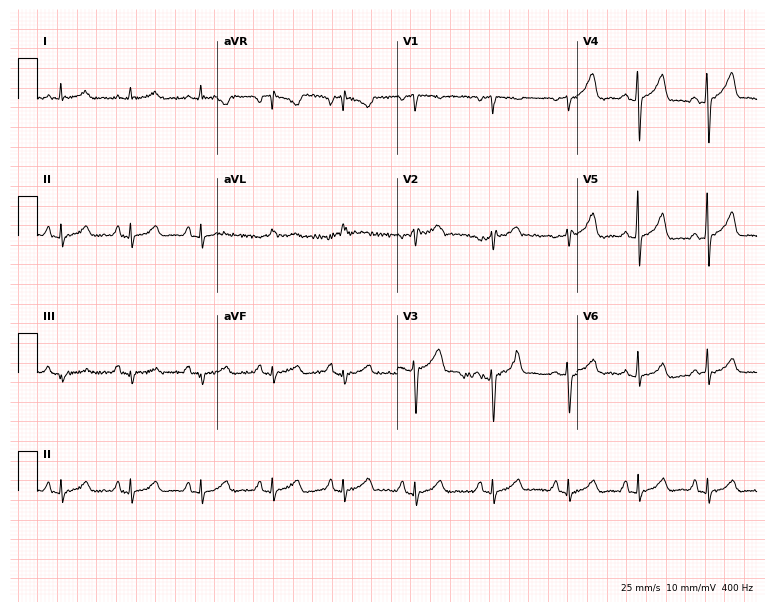
ECG — a 41-year-old female patient. Screened for six findings — first-degree AV block, right bundle branch block, left bundle branch block, sinus bradycardia, atrial fibrillation, sinus tachycardia — none is recorded. Findings outside these six are not listed.